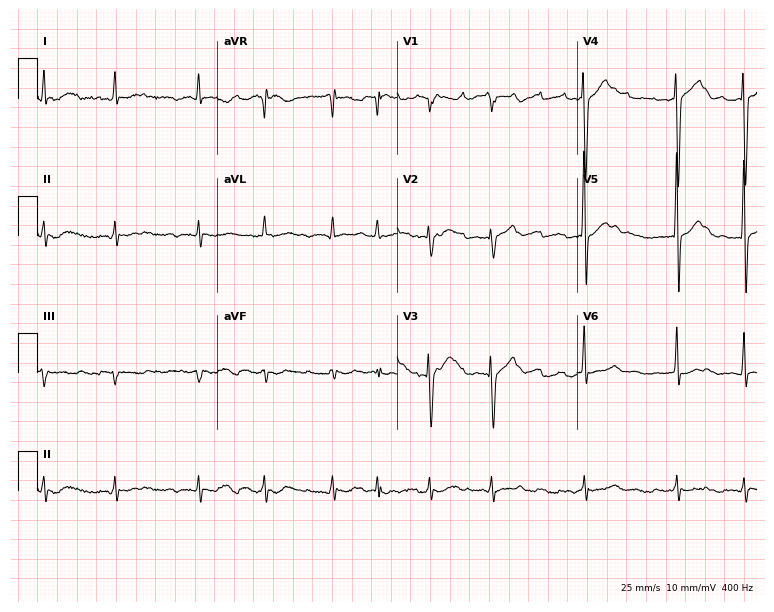
Electrocardiogram (7.3-second recording at 400 Hz), an 81-year-old male patient. Interpretation includes atrial fibrillation.